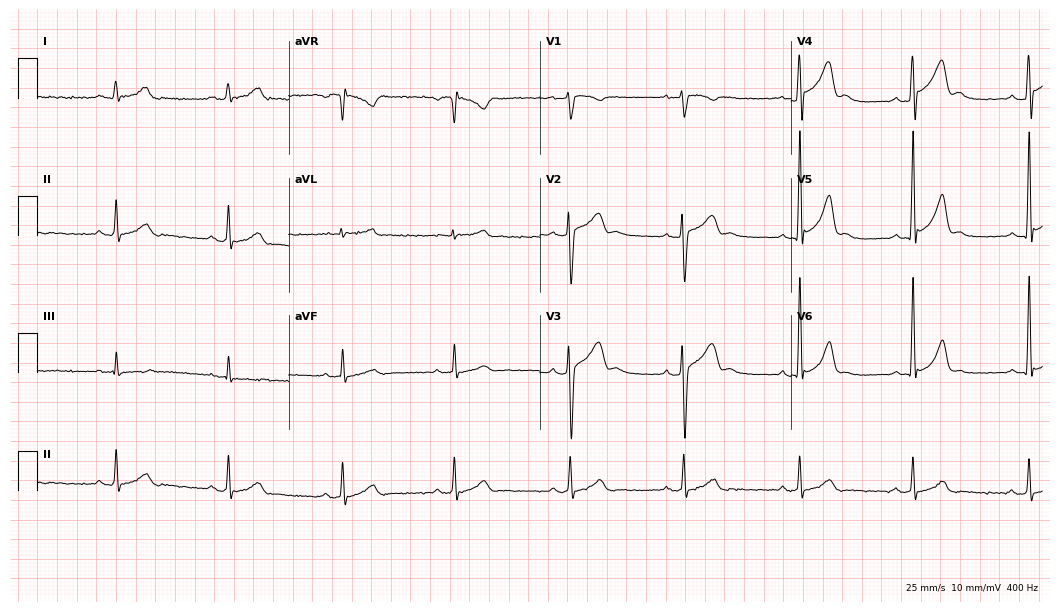
Standard 12-lead ECG recorded from a male patient, 49 years old (10.2-second recording at 400 Hz). Read as a normal ECG.